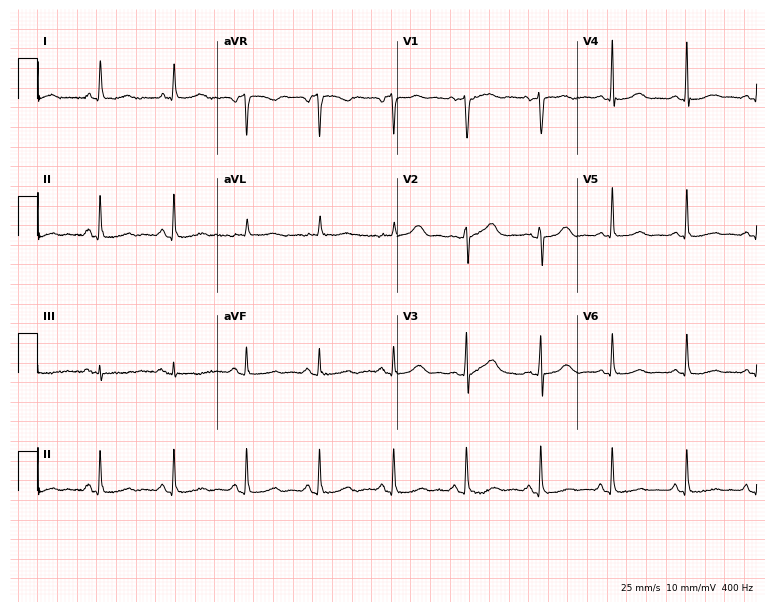
Electrocardiogram (7.3-second recording at 400 Hz), a 55-year-old woman. Overall reading on record: normal ECG.